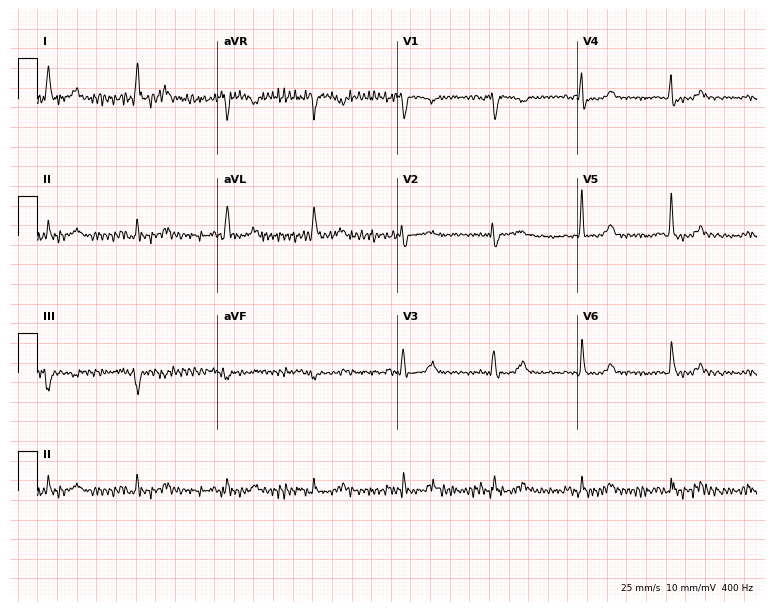
12-lead ECG (7.3-second recording at 400 Hz) from a female patient, 77 years old. Screened for six findings — first-degree AV block, right bundle branch block, left bundle branch block, sinus bradycardia, atrial fibrillation, sinus tachycardia — none is recorded. Findings outside these six are not listed.